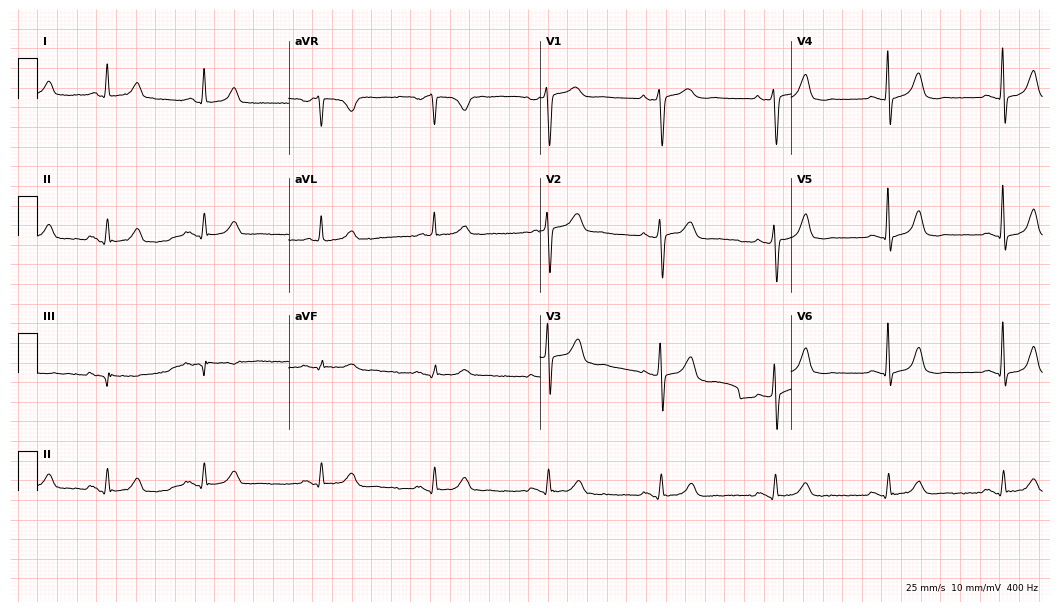
Electrocardiogram (10.2-second recording at 400 Hz), a female, 46 years old. Of the six screened findings (first-degree AV block, right bundle branch block, left bundle branch block, sinus bradycardia, atrial fibrillation, sinus tachycardia), none is recorded. Only these six findings were labelled.